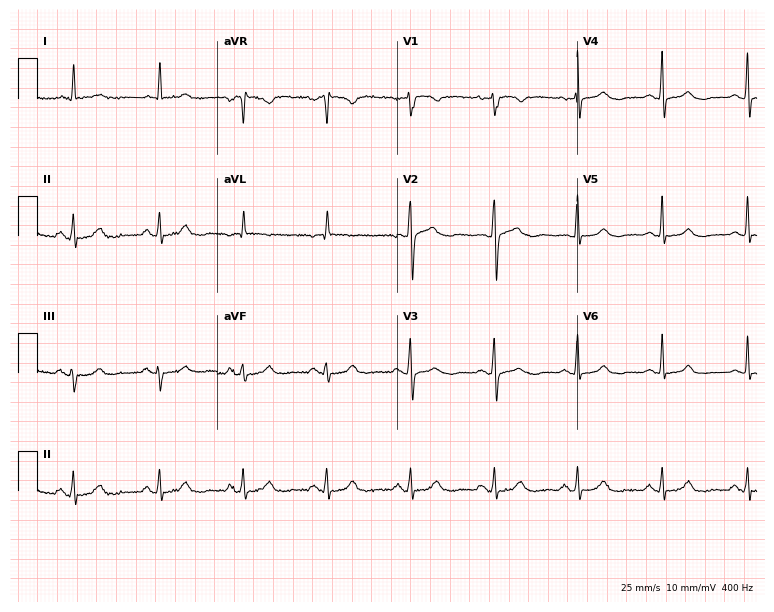
12-lead ECG from a 61-year-old female. Screened for six findings — first-degree AV block, right bundle branch block, left bundle branch block, sinus bradycardia, atrial fibrillation, sinus tachycardia — none is recorded.